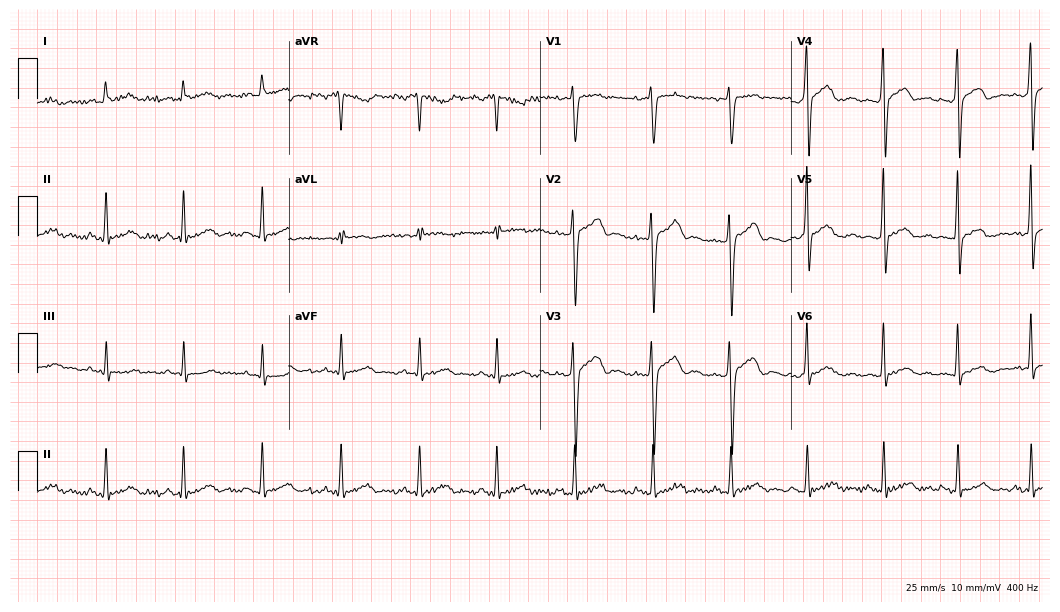
ECG (10.2-second recording at 400 Hz) — a man, 35 years old. Labelled as a normal ECG.